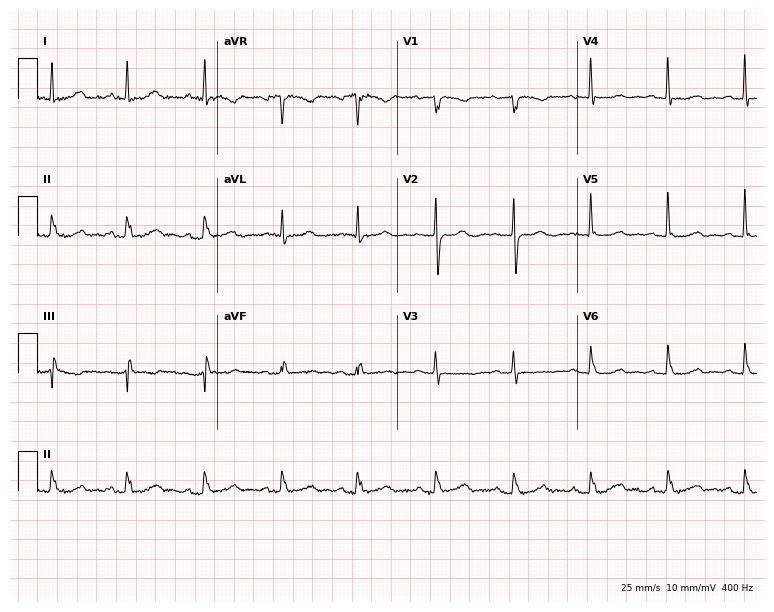
12-lead ECG from an 84-year-old woman (7.3-second recording at 400 Hz). No first-degree AV block, right bundle branch block (RBBB), left bundle branch block (LBBB), sinus bradycardia, atrial fibrillation (AF) or sinus tachycardia recorded for this tracing.